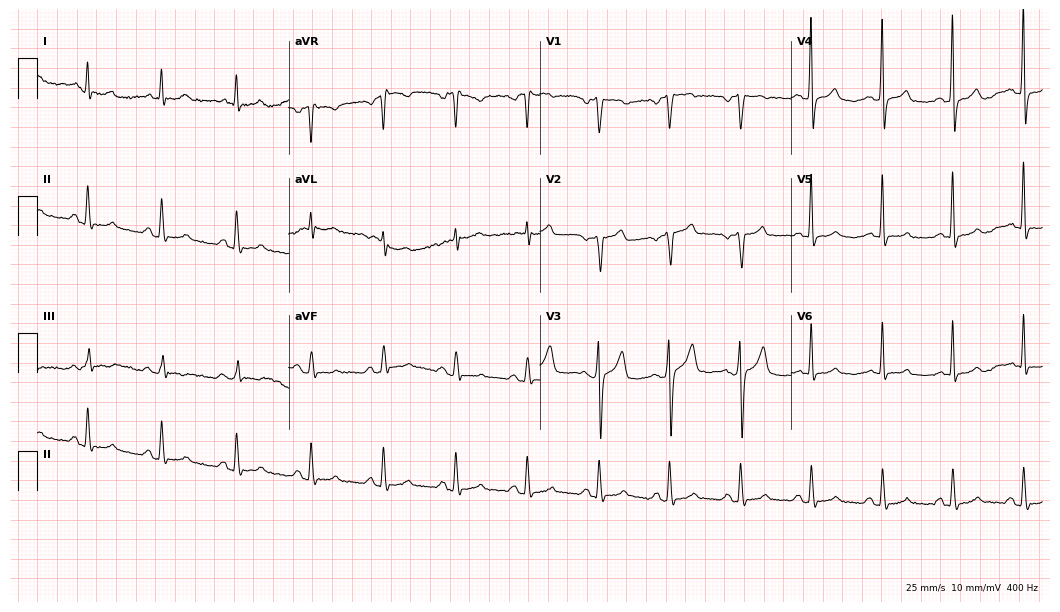
Standard 12-lead ECG recorded from a male patient, 61 years old (10.2-second recording at 400 Hz). None of these six findings is recorded: first-degree AV block, right bundle branch block (RBBB), left bundle branch block (LBBB), sinus bradycardia, atrial fibrillation (AF), sinus tachycardia.